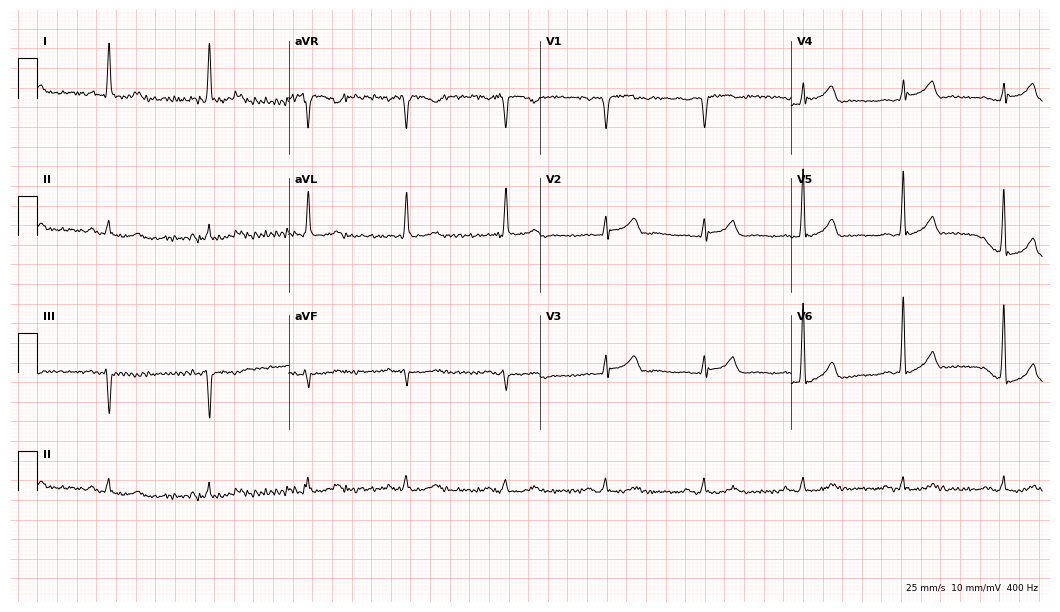
12-lead ECG (10.2-second recording at 400 Hz) from a male patient, 71 years old. Labelled as a normal ECG.